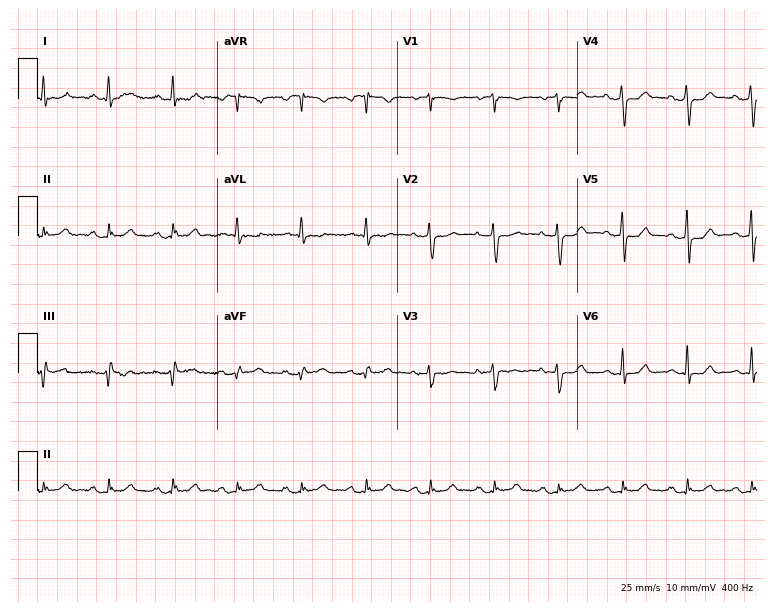
Electrocardiogram (7.3-second recording at 400 Hz), a female, 70 years old. Overall reading on record: normal ECG.